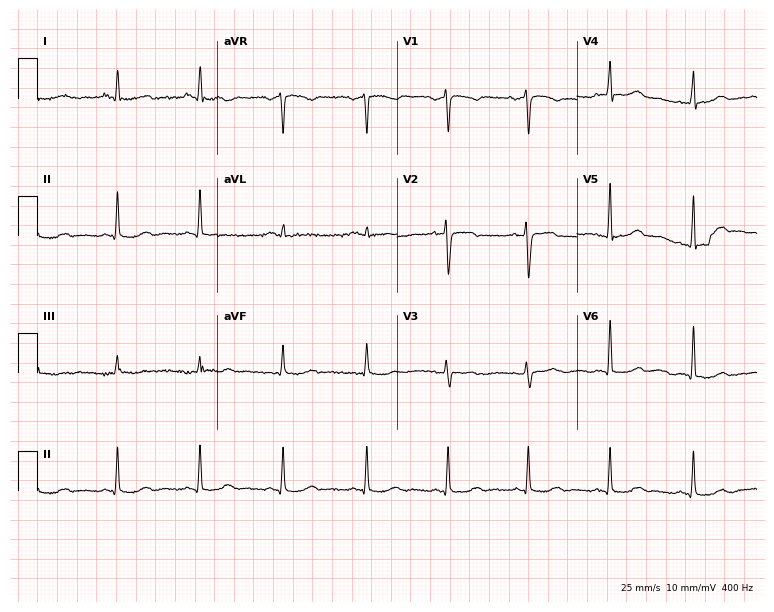
ECG — a woman, 31 years old. Labelled as a normal ECG.